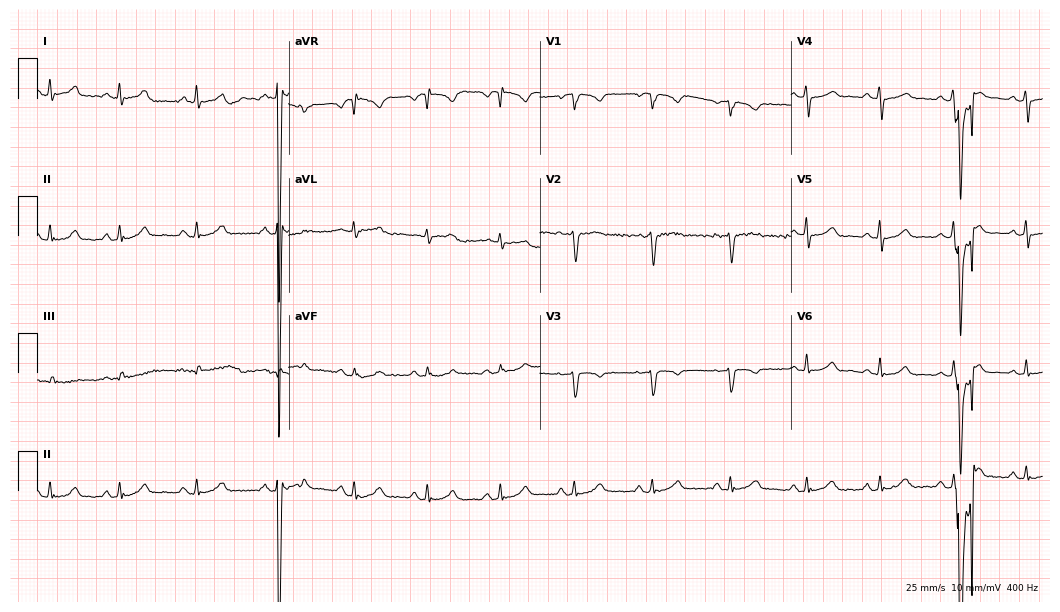
Resting 12-lead electrocardiogram. Patient: a female, 37 years old. None of these six findings is recorded: first-degree AV block, right bundle branch block (RBBB), left bundle branch block (LBBB), sinus bradycardia, atrial fibrillation (AF), sinus tachycardia. Other findings, if any, are not listed.